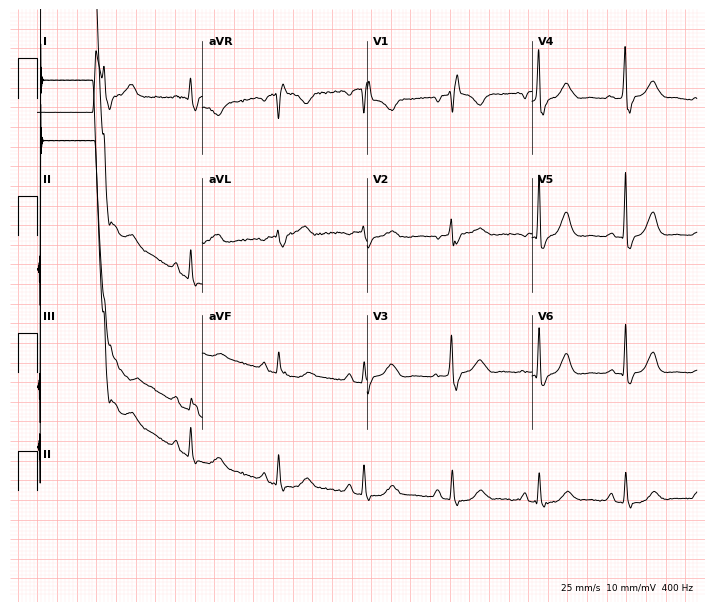
ECG (6.7-second recording at 400 Hz) — a female patient, 80 years old. Screened for six findings — first-degree AV block, right bundle branch block, left bundle branch block, sinus bradycardia, atrial fibrillation, sinus tachycardia — none is recorded. Other findings, if any, are not listed.